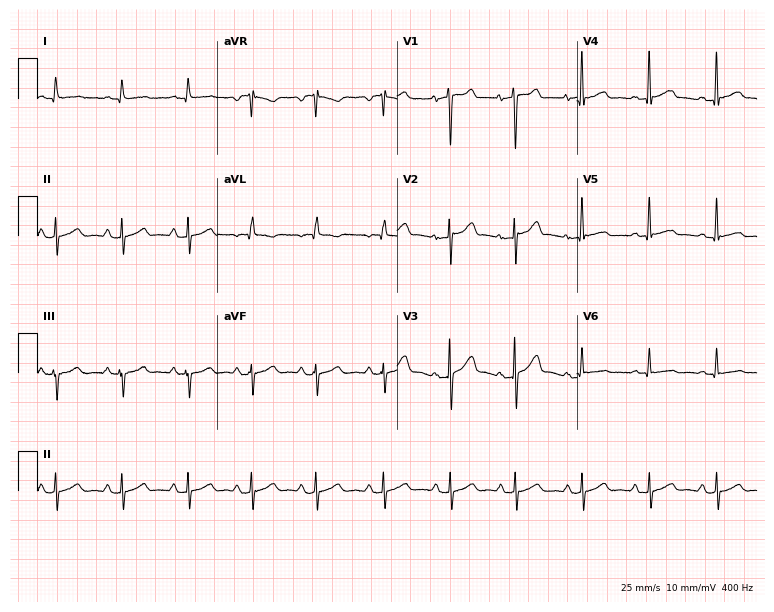
12-lead ECG from a 65-year-old male (7.3-second recording at 400 Hz). No first-degree AV block, right bundle branch block, left bundle branch block, sinus bradycardia, atrial fibrillation or sinus tachycardia recorded for this tracing. Other findings, if any, are not listed.